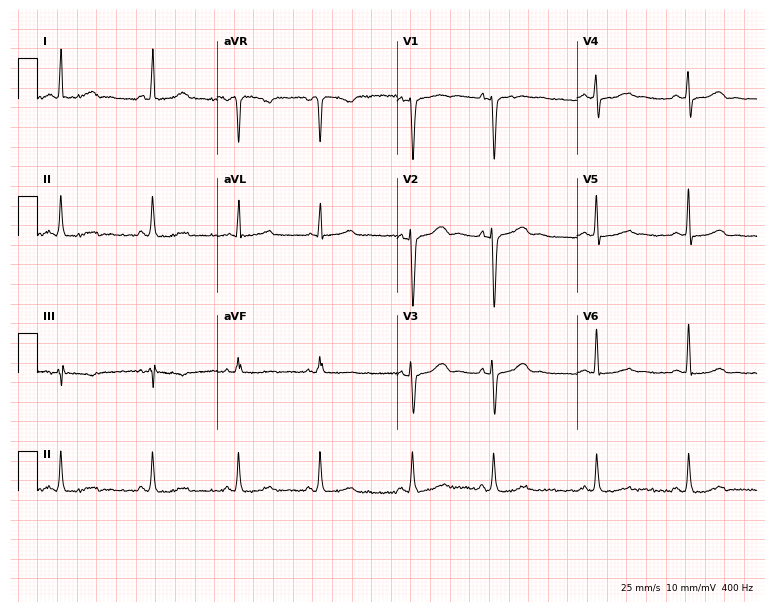
ECG — a female patient, 43 years old. Screened for six findings — first-degree AV block, right bundle branch block, left bundle branch block, sinus bradycardia, atrial fibrillation, sinus tachycardia — none is recorded.